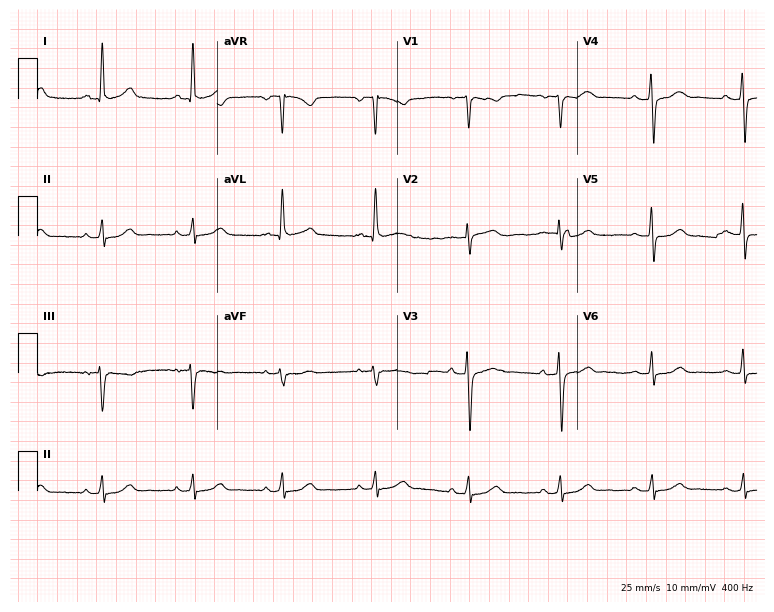
Electrocardiogram (7.3-second recording at 400 Hz), a woman, 65 years old. Overall reading on record: normal ECG.